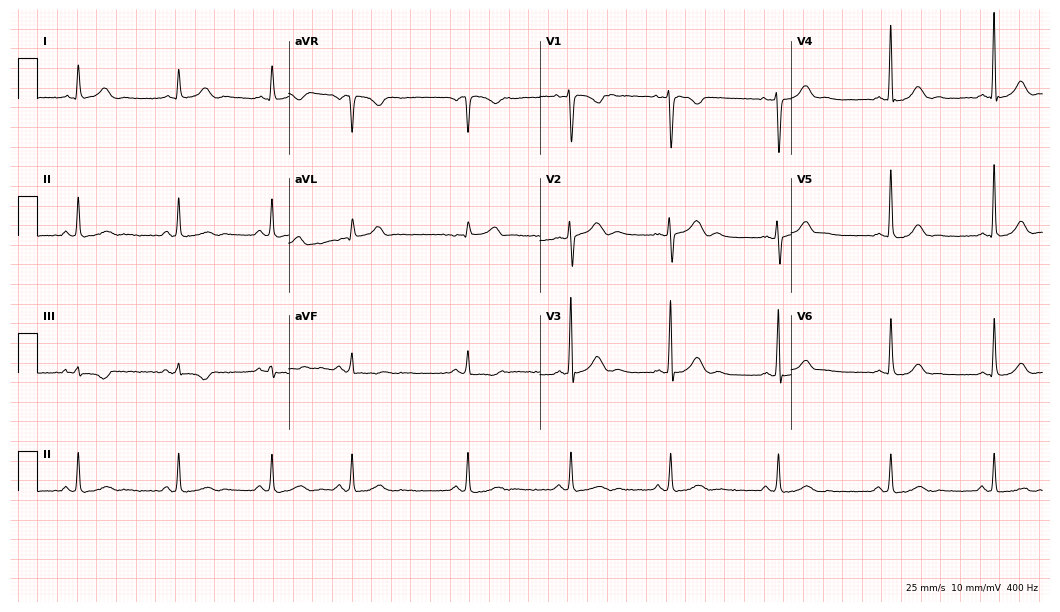
Resting 12-lead electrocardiogram. Patient: a woman, 34 years old. None of these six findings is recorded: first-degree AV block, right bundle branch block, left bundle branch block, sinus bradycardia, atrial fibrillation, sinus tachycardia. Other findings, if any, are not listed.